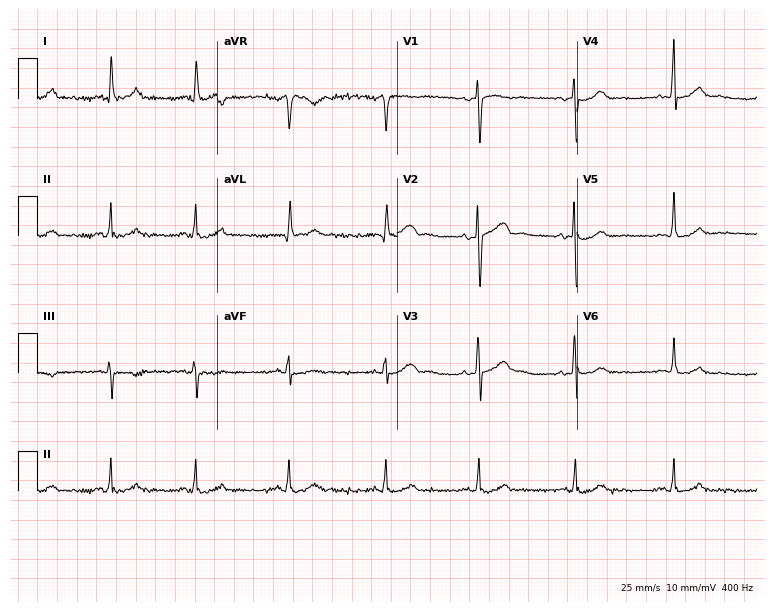
12-lead ECG from a female, 51 years old. Screened for six findings — first-degree AV block, right bundle branch block, left bundle branch block, sinus bradycardia, atrial fibrillation, sinus tachycardia — none is recorded.